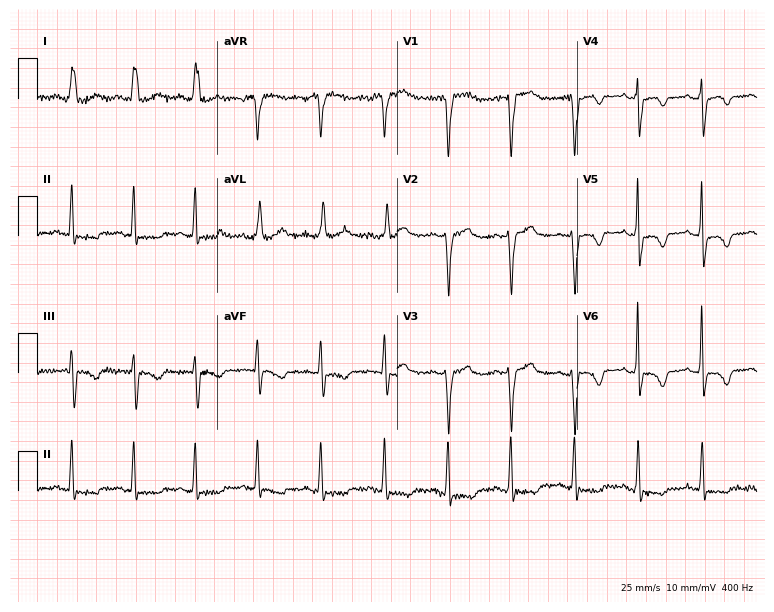
ECG (7.3-second recording at 400 Hz) — a woman, 73 years old. Screened for six findings — first-degree AV block, right bundle branch block, left bundle branch block, sinus bradycardia, atrial fibrillation, sinus tachycardia — none is recorded.